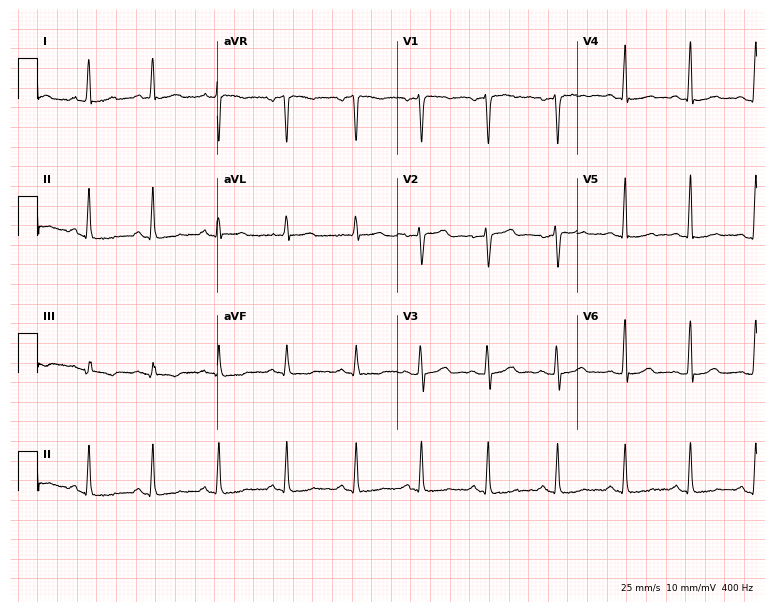
12-lead ECG from a female, 35 years old. No first-degree AV block, right bundle branch block (RBBB), left bundle branch block (LBBB), sinus bradycardia, atrial fibrillation (AF) or sinus tachycardia recorded for this tracing. Other findings, if any, are not listed.